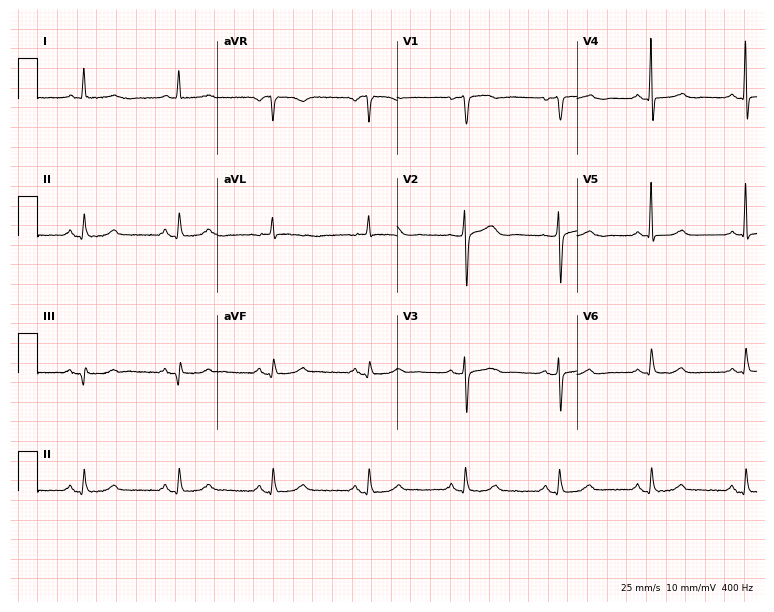
12-lead ECG (7.3-second recording at 400 Hz) from a female, 75 years old. Labelled as a normal ECG.